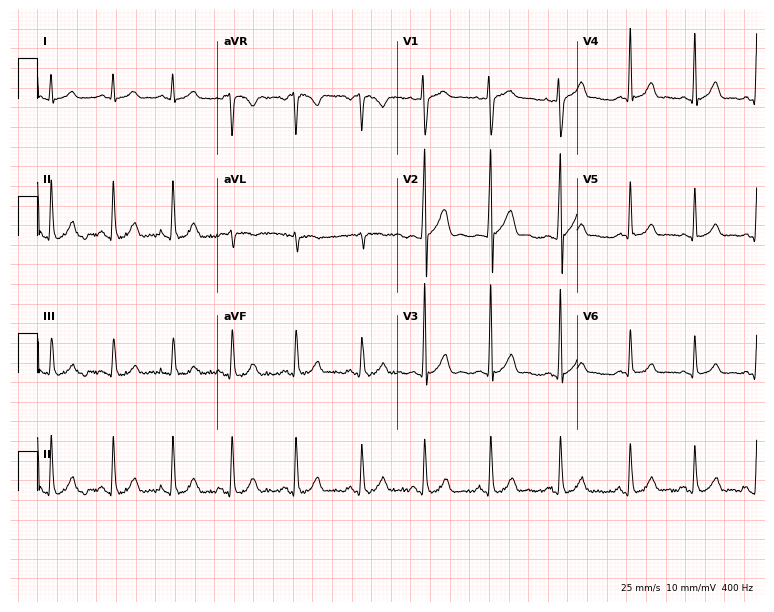
12-lead ECG from a man, 19 years old (7.3-second recording at 400 Hz). Recorded interpretation: within normal limits.